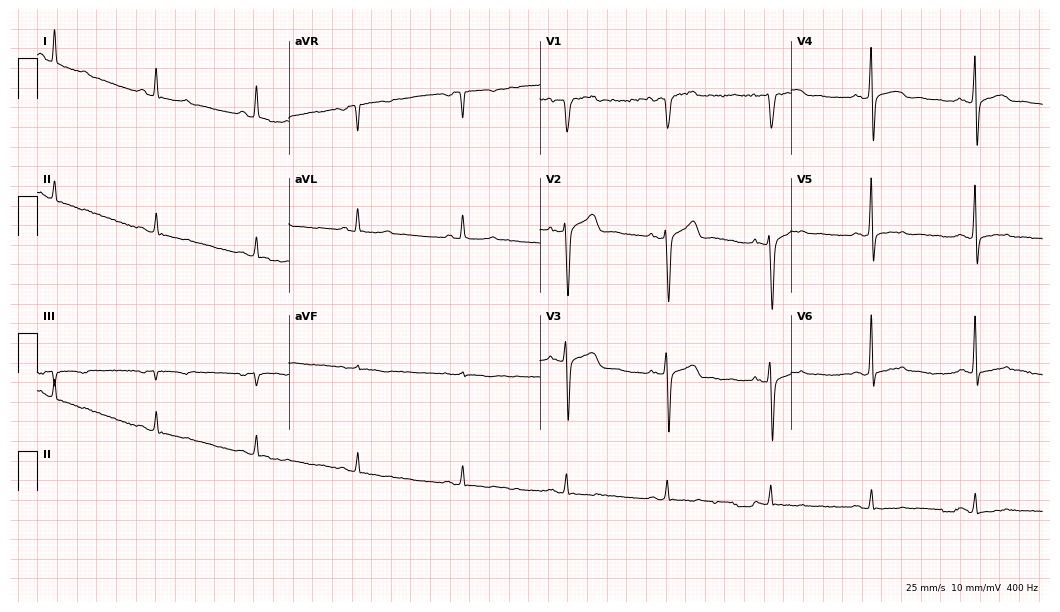
12-lead ECG (10.2-second recording at 400 Hz) from a male, 57 years old. Screened for six findings — first-degree AV block, right bundle branch block, left bundle branch block, sinus bradycardia, atrial fibrillation, sinus tachycardia — none is recorded.